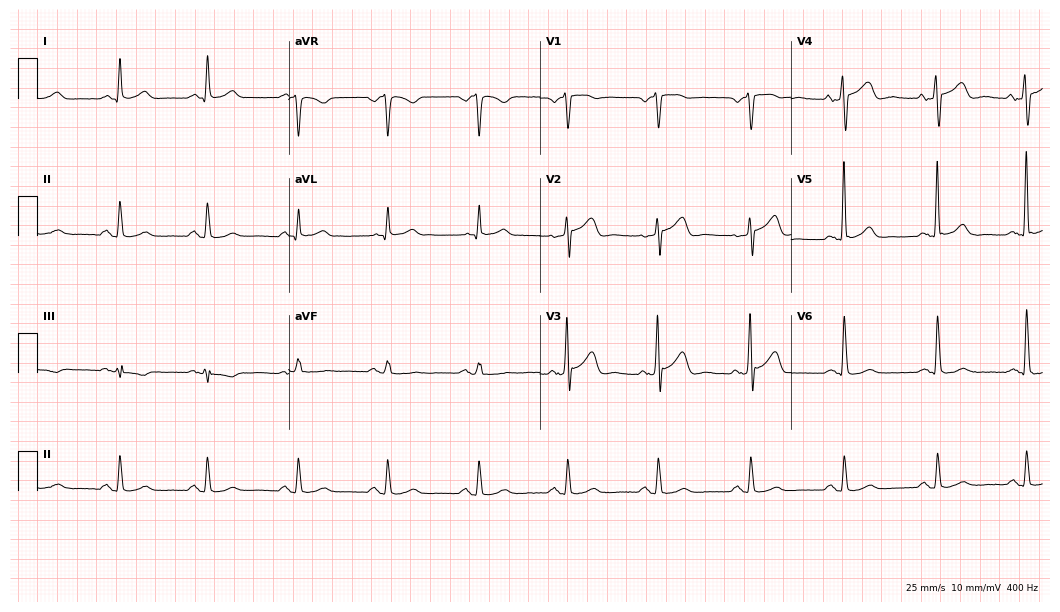
Standard 12-lead ECG recorded from a man, 59 years old (10.2-second recording at 400 Hz). Read as a normal ECG.